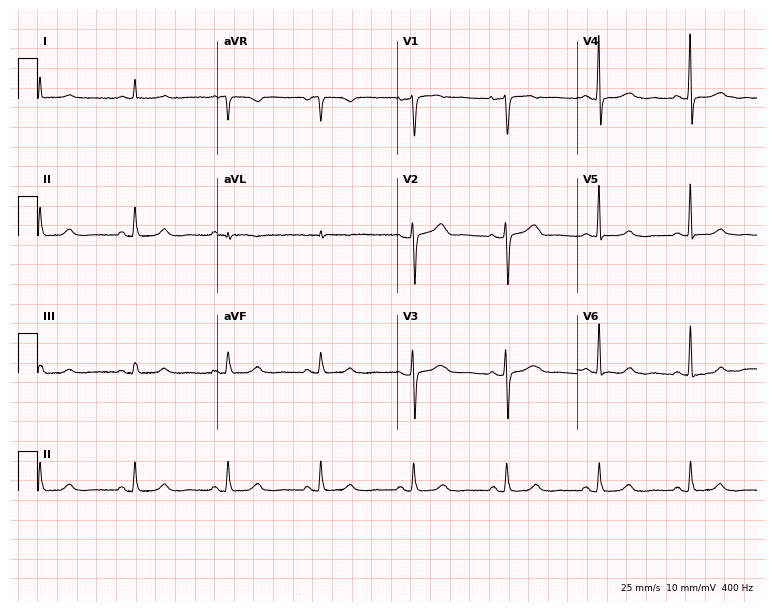
12-lead ECG from a 54-year-old female. Screened for six findings — first-degree AV block, right bundle branch block (RBBB), left bundle branch block (LBBB), sinus bradycardia, atrial fibrillation (AF), sinus tachycardia — none is recorded. Other findings, if any, are not listed.